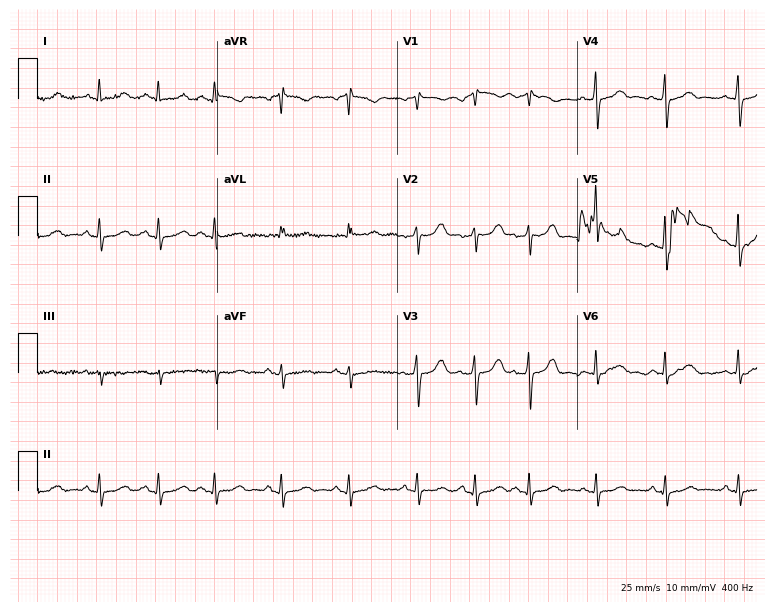
12-lead ECG from a woman, 83 years old (7.3-second recording at 400 Hz). No first-degree AV block, right bundle branch block (RBBB), left bundle branch block (LBBB), sinus bradycardia, atrial fibrillation (AF) or sinus tachycardia recorded for this tracing.